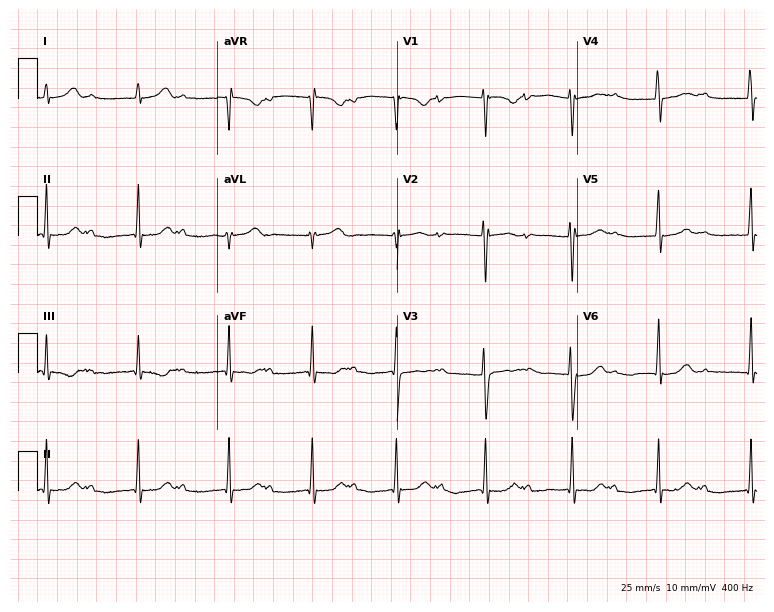
Standard 12-lead ECG recorded from a female, 27 years old (7.3-second recording at 400 Hz). Read as a normal ECG.